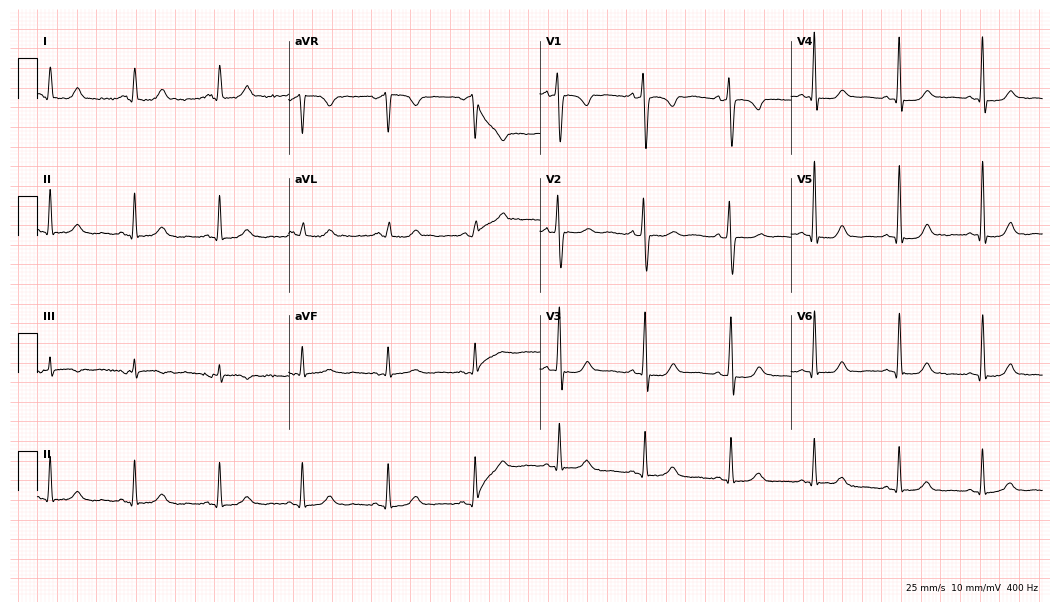
Electrocardiogram, a female, 47 years old. Of the six screened findings (first-degree AV block, right bundle branch block (RBBB), left bundle branch block (LBBB), sinus bradycardia, atrial fibrillation (AF), sinus tachycardia), none is recorded. Only these six findings were labelled.